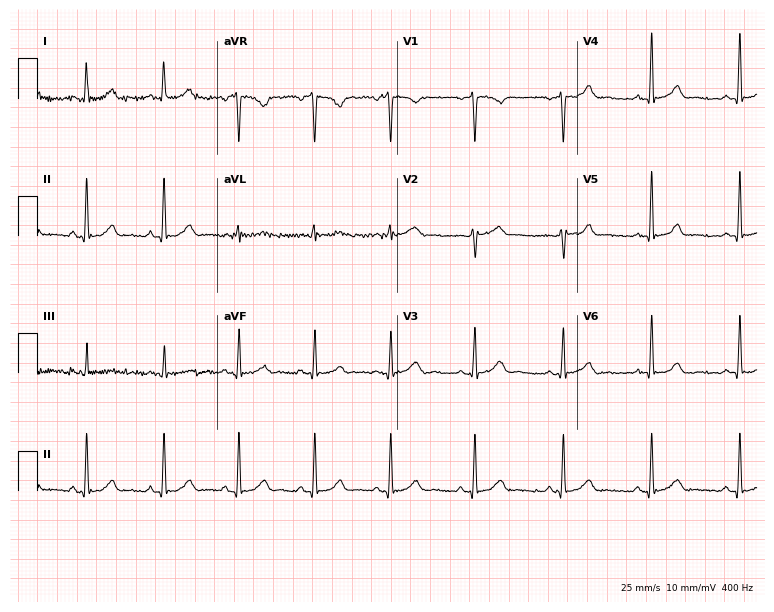
Electrocardiogram, a 43-year-old female patient. Of the six screened findings (first-degree AV block, right bundle branch block (RBBB), left bundle branch block (LBBB), sinus bradycardia, atrial fibrillation (AF), sinus tachycardia), none is recorded. Findings outside these six are not listed.